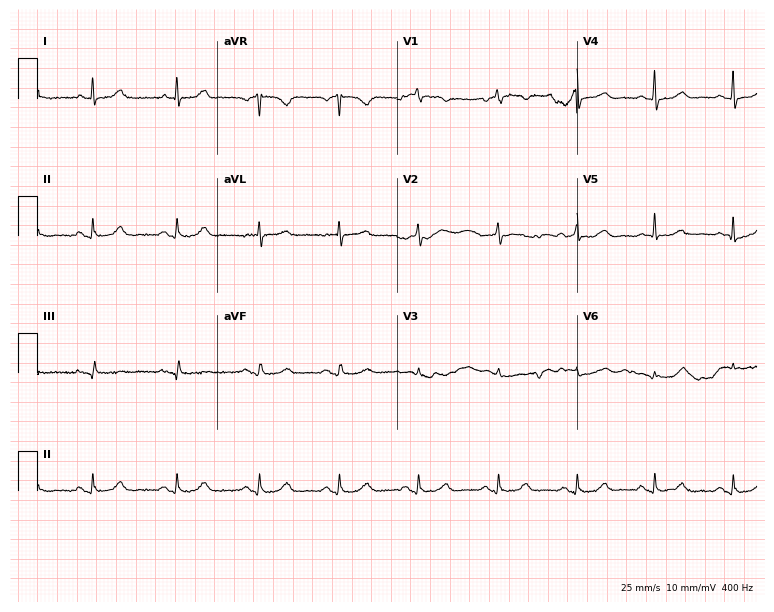
12-lead ECG (7.3-second recording at 400 Hz) from a female, 68 years old. Labelled as a normal ECG.